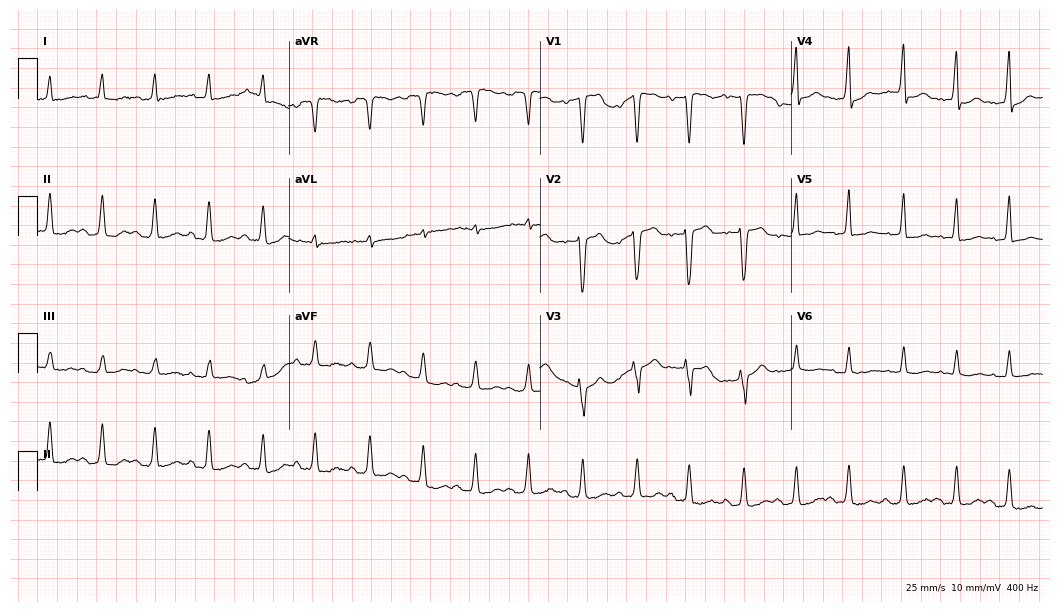
12-lead ECG from an 82-year-old female. Shows sinus tachycardia (a sinus rate of 100 beats per minute or more).